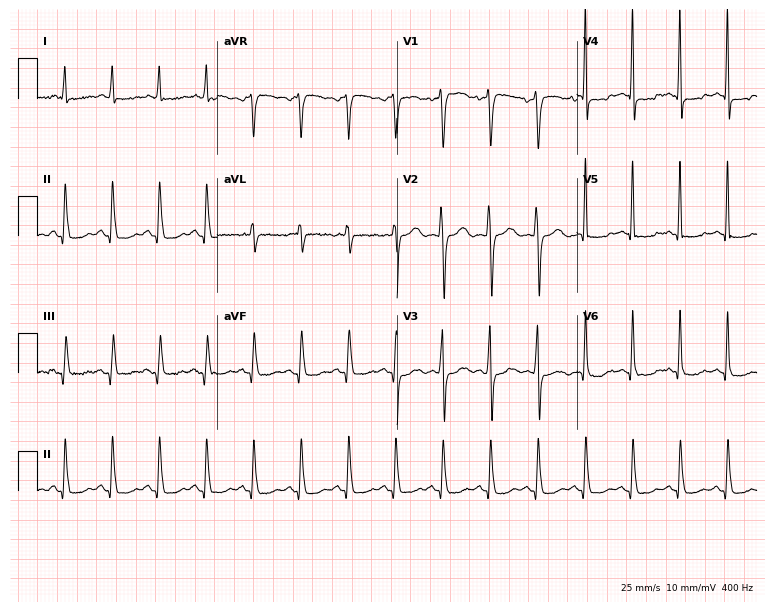
ECG — a 22-year-old man. Findings include sinus tachycardia (a sinus rate of 100 beats per minute or more).